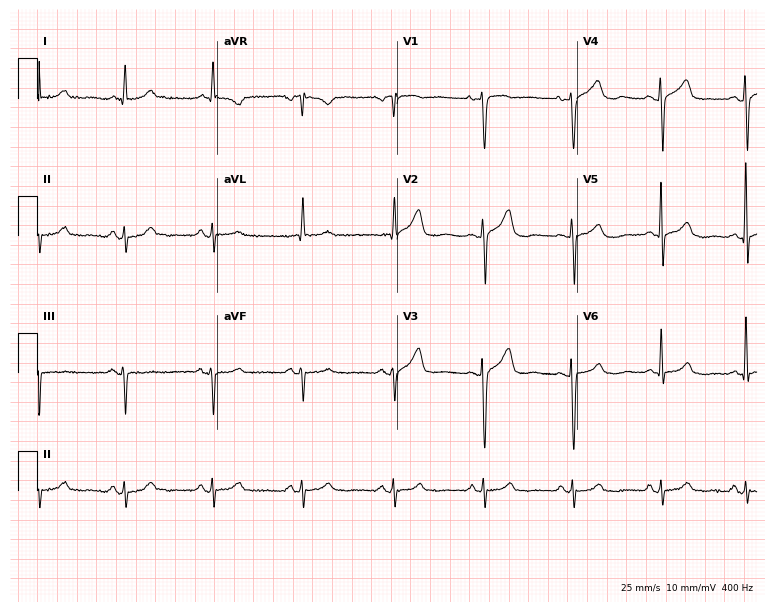
ECG (7.3-second recording at 400 Hz) — a male patient, 77 years old. Screened for six findings — first-degree AV block, right bundle branch block (RBBB), left bundle branch block (LBBB), sinus bradycardia, atrial fibrillation (AF), sinus tachycardia — none is recorded.